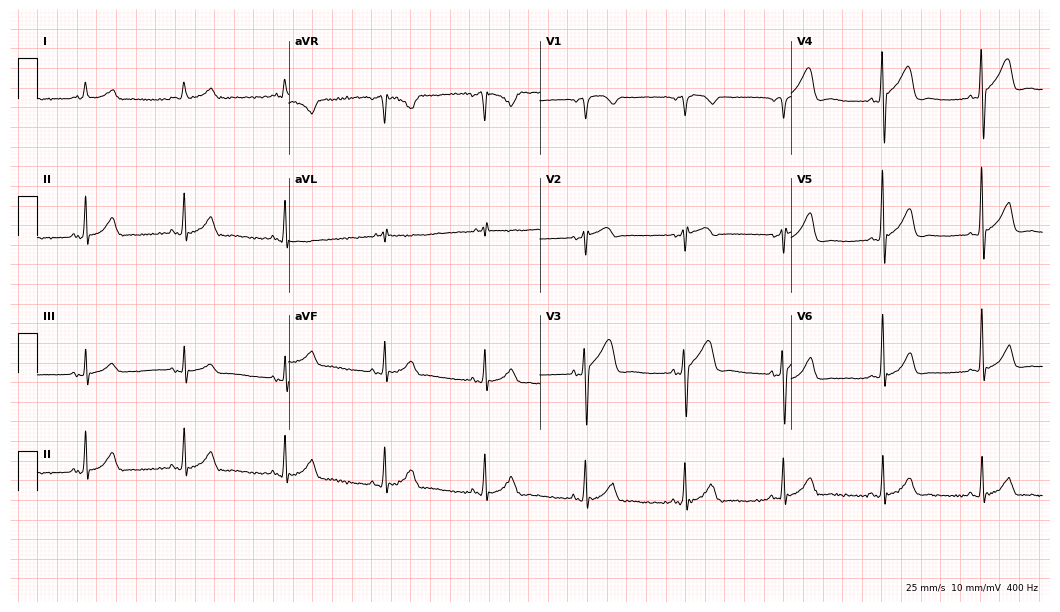
ECG — a 69-year-old man. Screened for six findings — first-degree AV block, right bundle branch block (RBBB), left bundle branch block (LBBB), sinus bradycardia, atrial fibrillation (AF), sinus tachycardia — none is recorded. Other findings, if any, are not listed.